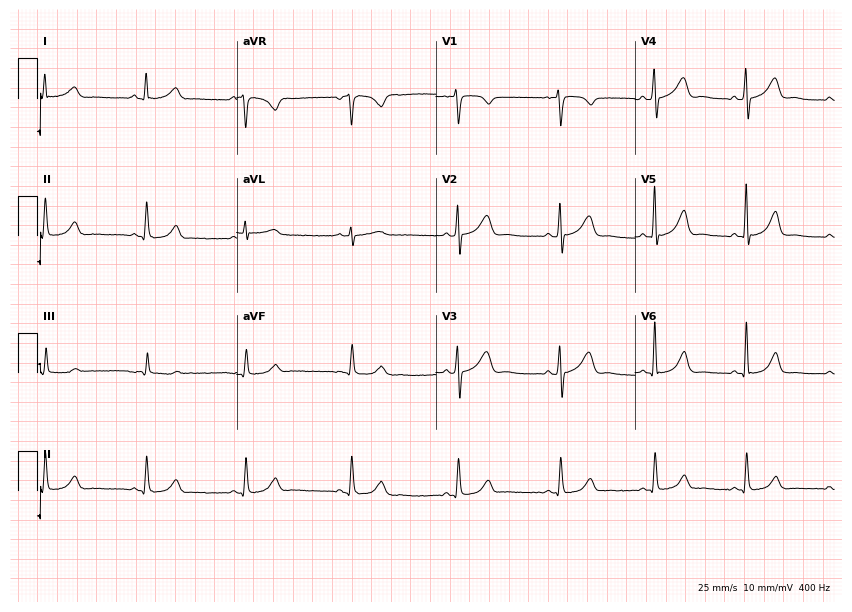
ECG — a 48-year-old female. Labelled as a normal ECG.